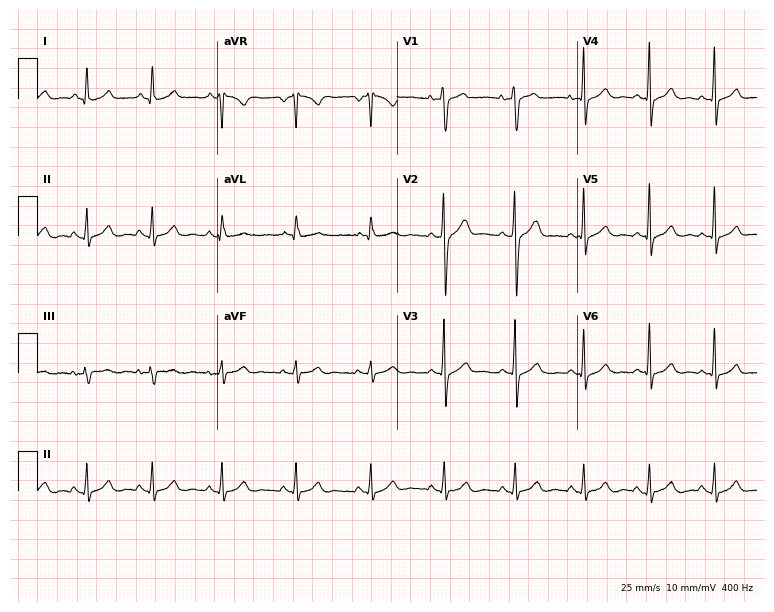
Electrocardiogram, a male, 40 years old. Of the six screened findings (first-degree AV block, right bundle branch block, left bundle branch block, sinus bradycardia, atrial fibrillation, sinus tachycardia), none is recorded. Findings outside these six are not listed.